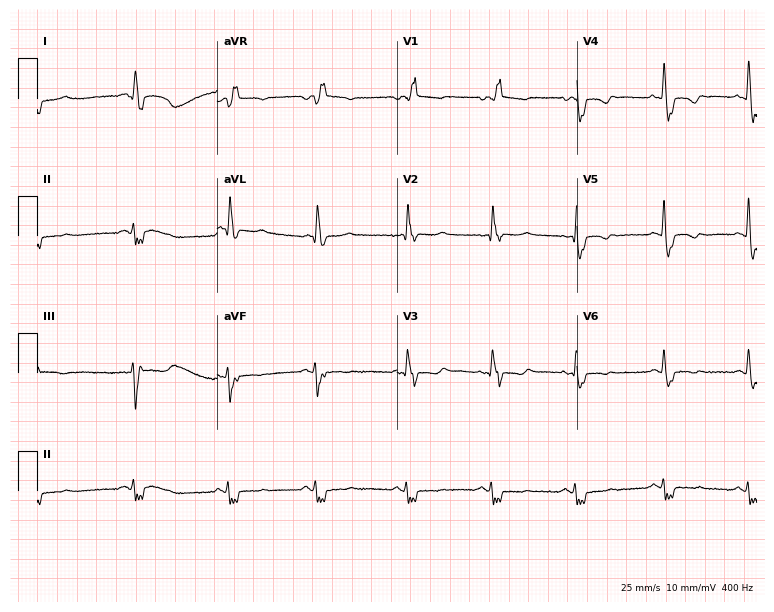
ECG (7.3-second recording at 400 Hz) — a female patient, 79 years old. Findings include right bundle branch block.